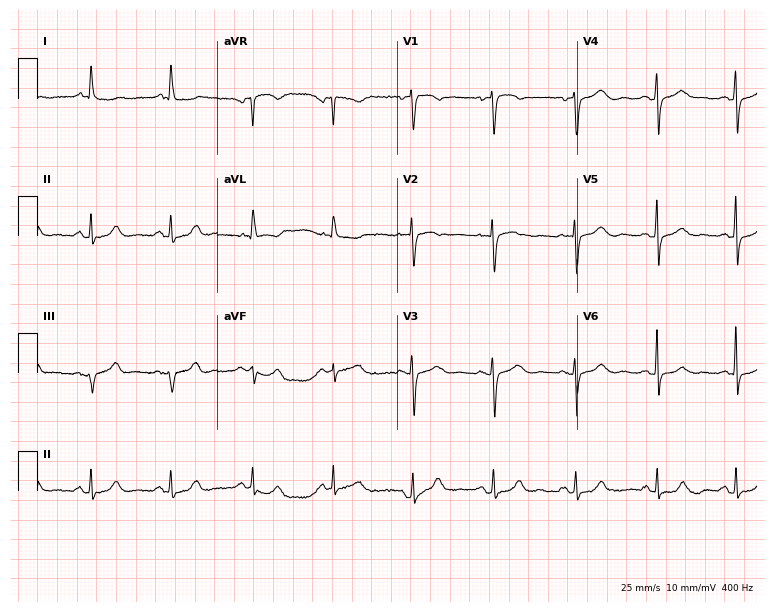
12-lead ECG from a female patient, 70 years old (7.3-second recording at 400 Hz). No first-degree AV block, right bundle branch block, left bundle branch block, sinus bradycardia, atrial fibrillation or sinus tachycardia recorded for this tracing.